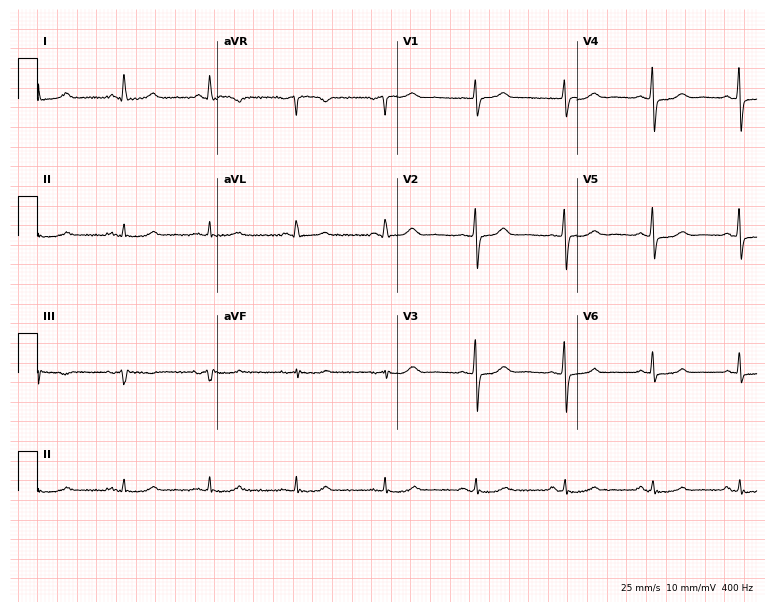
Standard 12-lead ECG recorded from a 66-year-old man (7.3-second recording at 400 Hz). Read as a normal ECG.